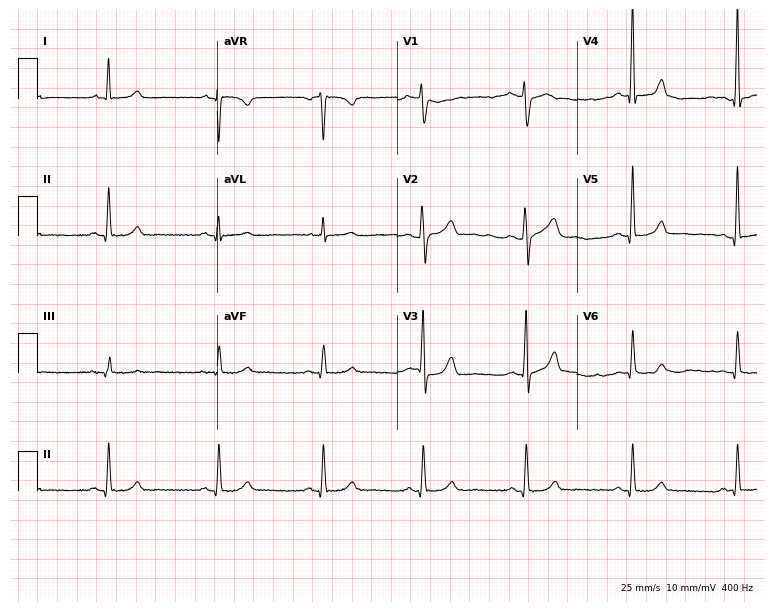
Electrocardiogram (7.3-second recording at 400 Hz), a 52-year-old female. Overall reading on record: normal ECG.